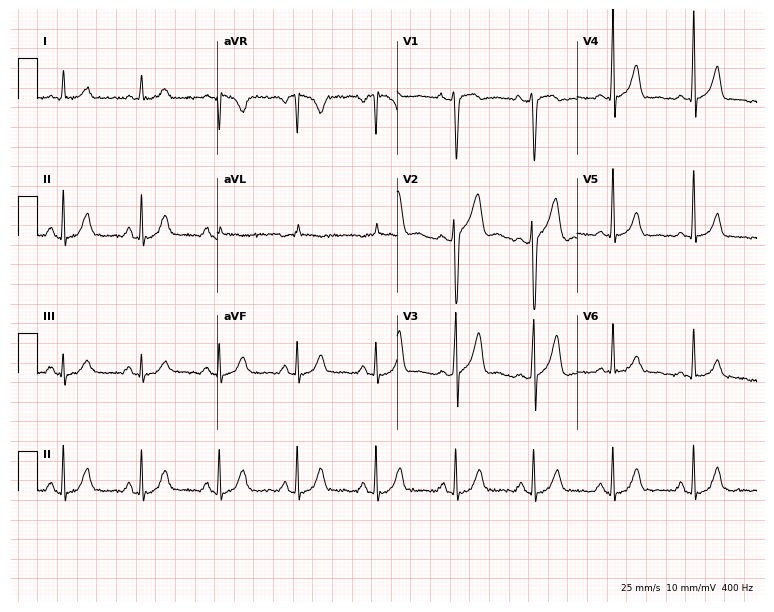
12-lead ECG from a male, 48 years old. Recorded interpretation: within normal limits.